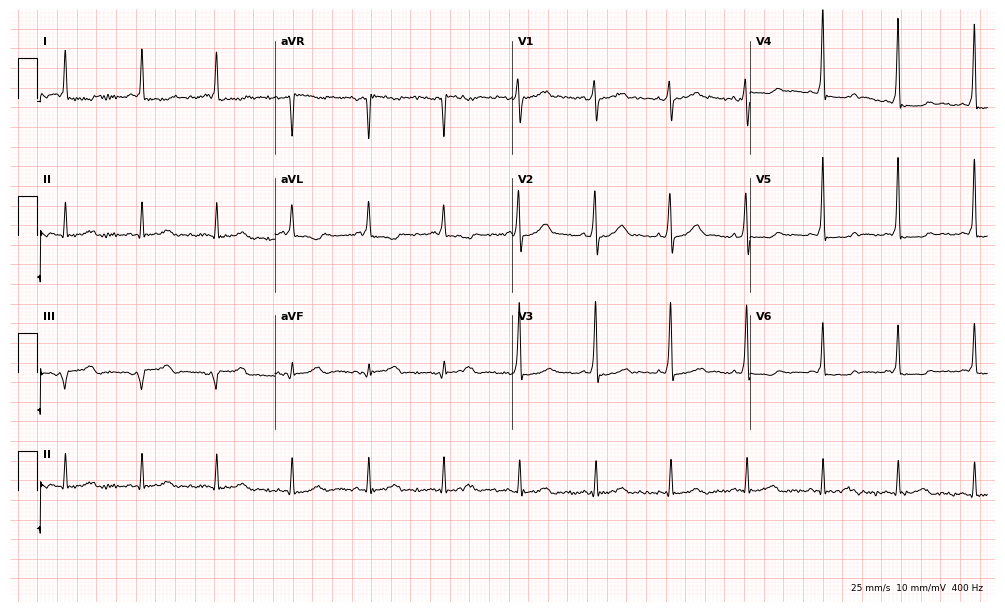
Standard 12-lead ECG recorded from a female, 55 years old (9.7-second recording at 400 Hz). None of these six findings is recorded: first-degree AV block, right bundle branch block, left bundle branch block, sinus bradycardia, atrial fibrillation, sinus tachycardia.